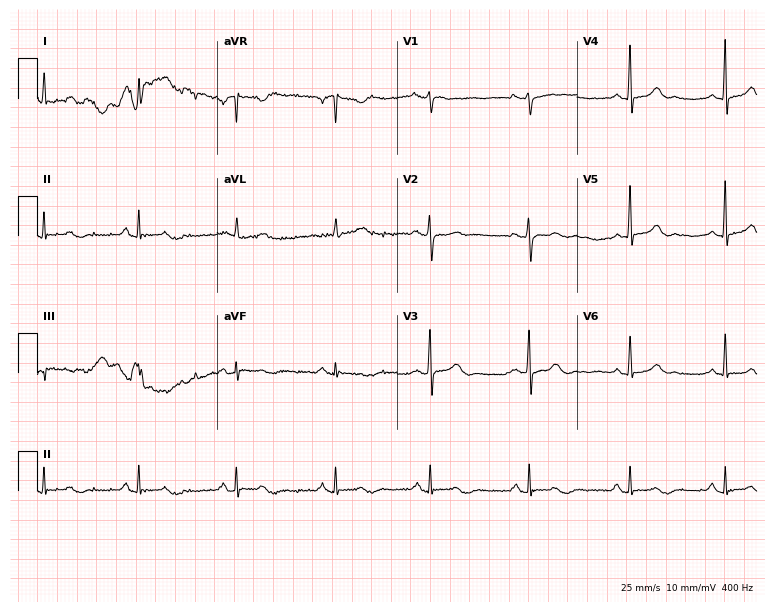
12-lead ECG from a woman, 67 years old. Recorded interpretation: within normal limits.